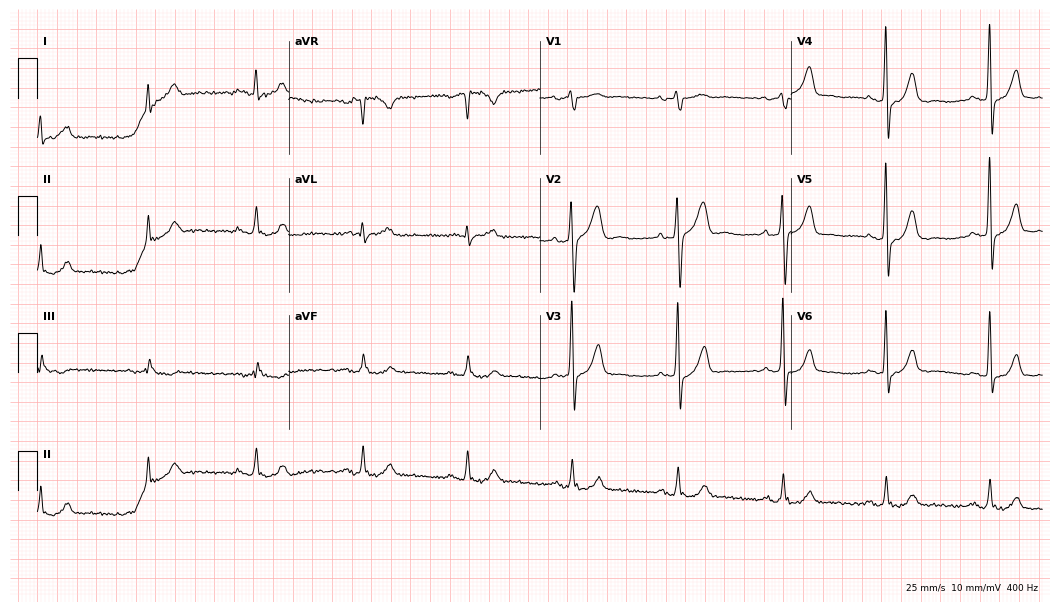
Standard 12-lead ECG recorded from a man, 62 years old. None of these six findings is recorded: first-degree AV block, right bundle branch block, left bundle branch block, sinus bradycardia, atrial fibrillation, sinus tachycardia. Only these six findings were labelled.